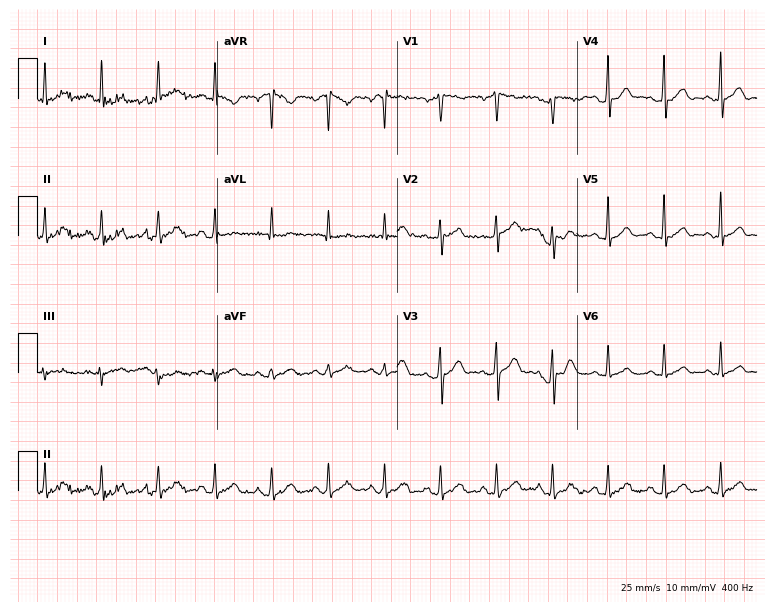
12-lead ECG from a man, 28 years old. Findings include sinus tachycardia (a sinus rate of 100 beats per minute or more).